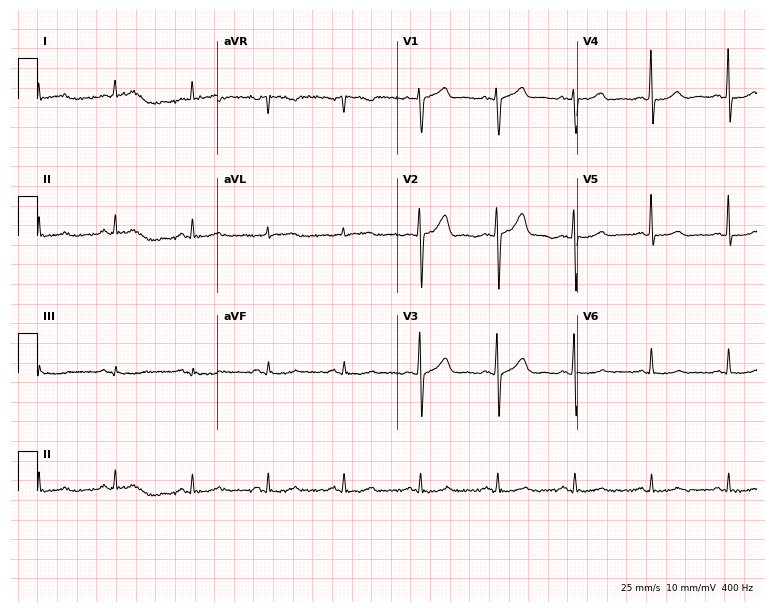
Standard 12-lead ECG recorded from a male, 70 years old. None of these six findings is recorded: first-degree AV block, right bundle branch block (RBBB), left bundle branch block (LBBB), sinus bradycardia, atrial fibrillation (AF), sinus tachycardia.